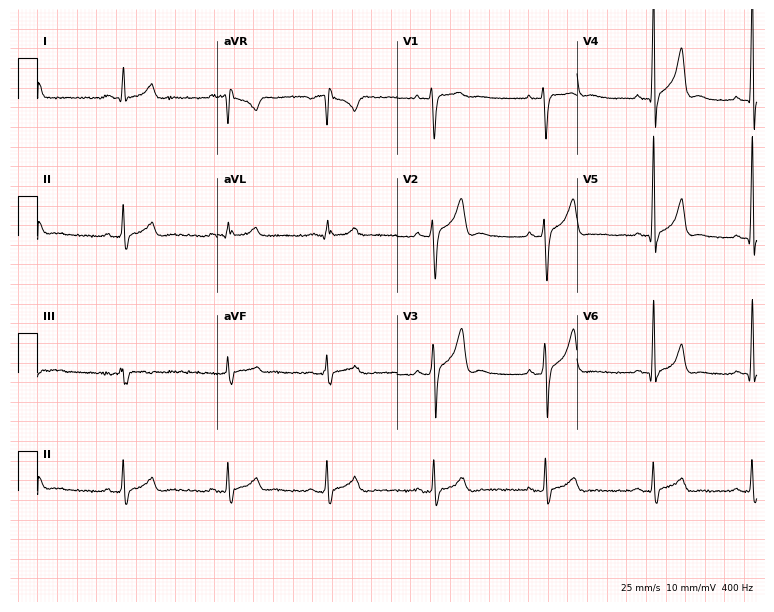
Electrocardiogram, a male patient, 30 years old. Overall reading on record: normal ECG.